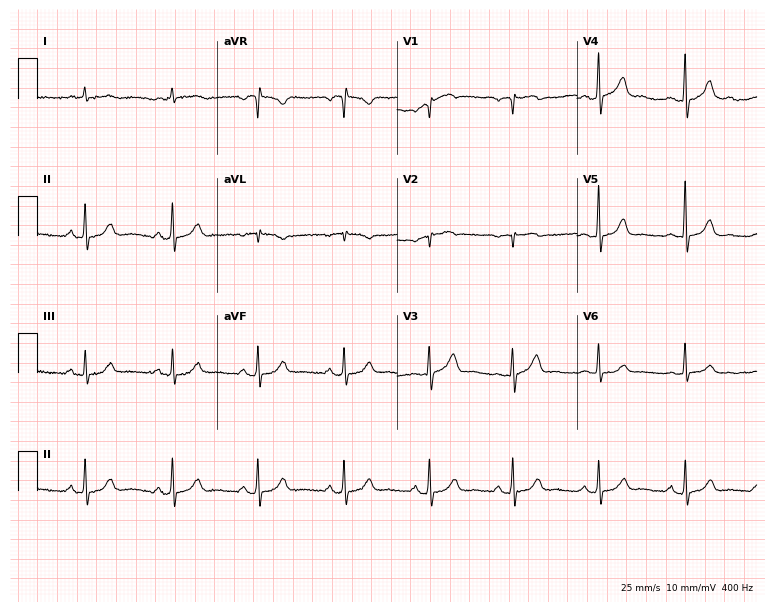
Standard 12-lead ECG recorded from a man, 82 years old (7.3-second recording at 400 Hz). Read as a normal ECG.